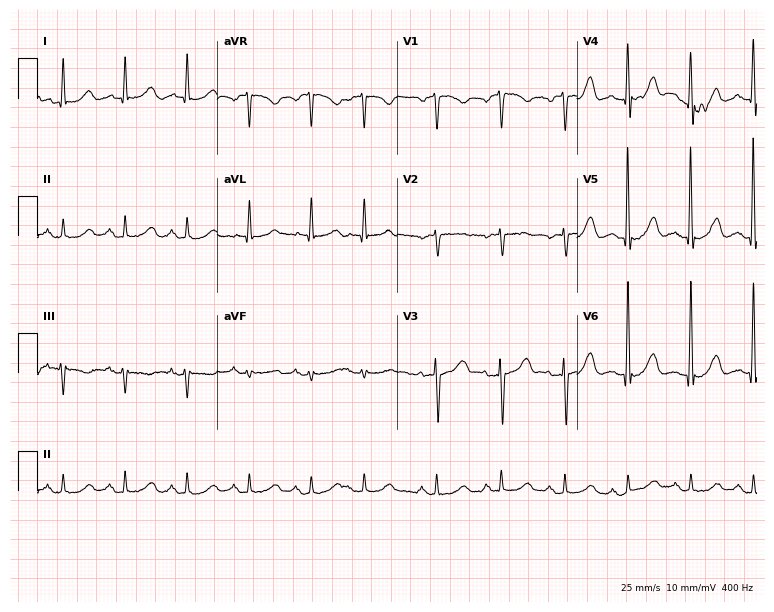
Standard 12-lead ECG recorded from a male, 73 years old. None of these six findings is recorded: first-degree AV block, right bundle branch block (RBBB), left bundle branch block (LBBB), sinus bradycardia, atrial fibrillation (AF), sinus tachycardia. Only these six findings were labelled.